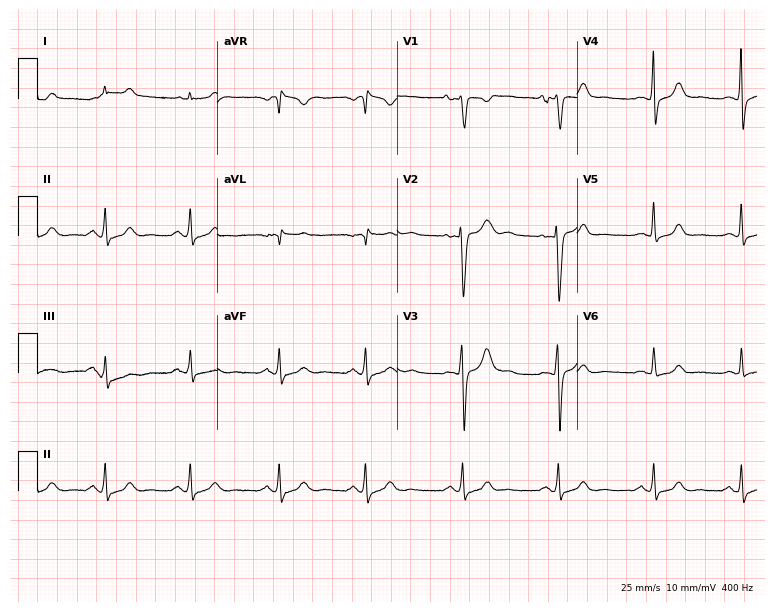
Electrocardiogram, a 22-year-old female patient. Of the six screened findings (first-degree AV block, right bundle branch block, left bundle branch block, sinus bradycardia, atrial fibrillation, sinus tachycardia), none is recorded. Only these six findings were labelled.